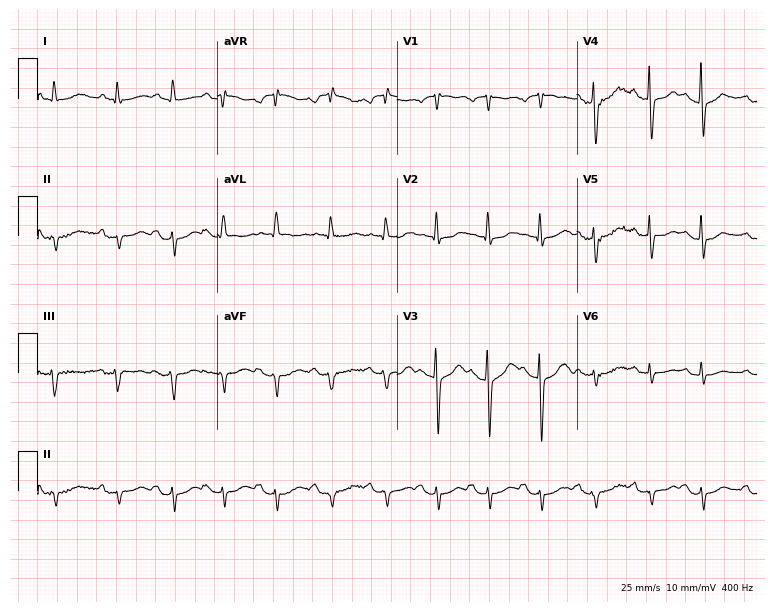
12-lead ECG from a 71-year-old woman. Findings include sinus tachycardia (a sinus rate of 100 beats per minute or more).